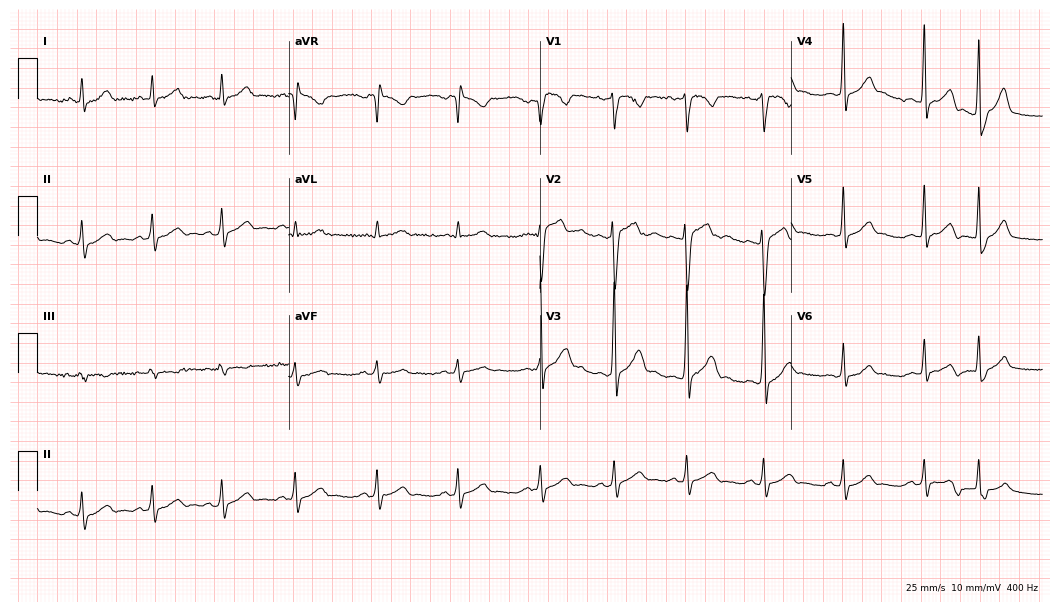
Resting 12-lead electrocardiogram (10.2-second recording at 400 Hz). Patient: a man, 19 years old. Read as a normal ECG.